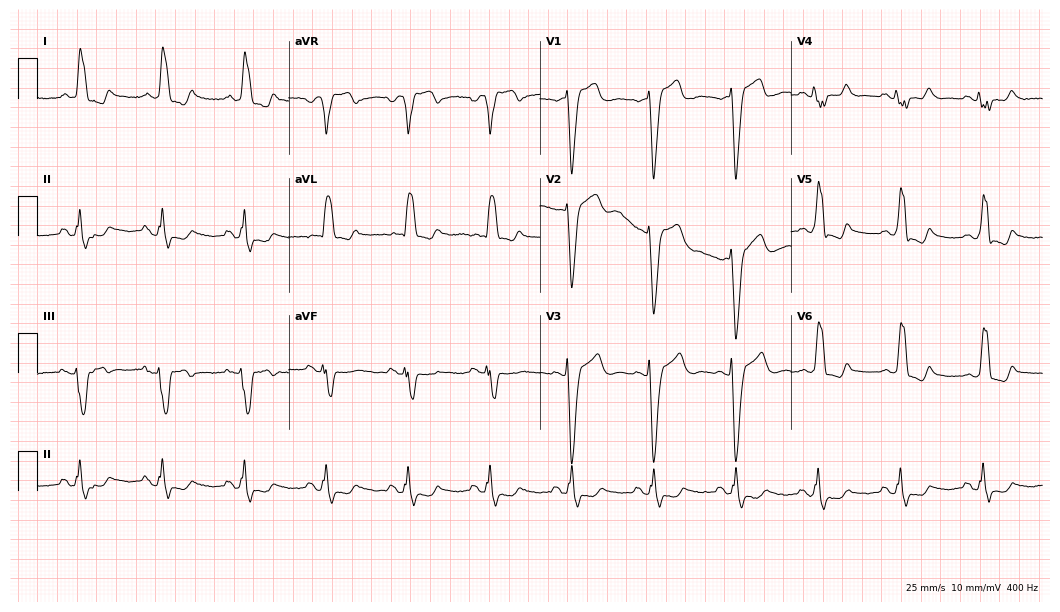
Standard 12-lead ECG recorded from a female, 73 years old. The tracing shows left bundle branch block.